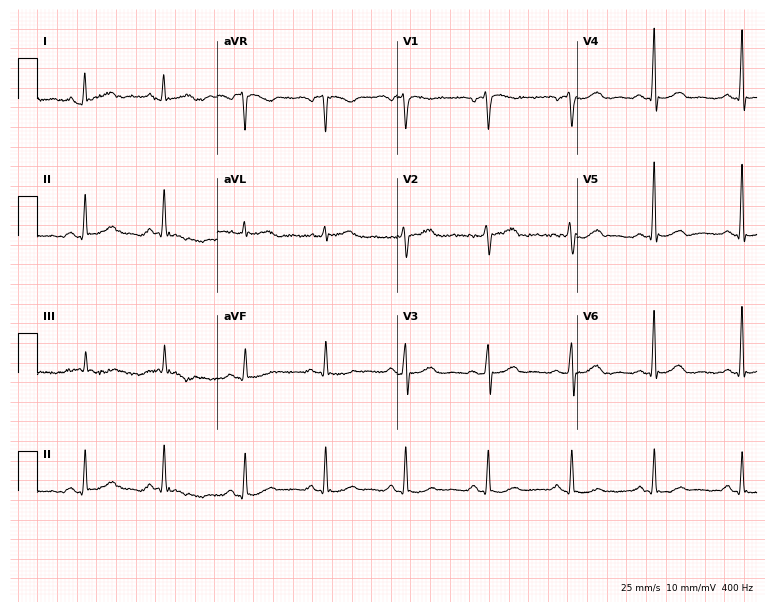
ECG (7.3-second recording at 400 Hz) — a male patient, 55 years old. Screened for six findings — first-degree AV block, right bundle branch block, left bundle branch block, sinus bradycardia, atrial fibrillation, sinus tachycardia — none is recorded. Only these six findings were labelled.